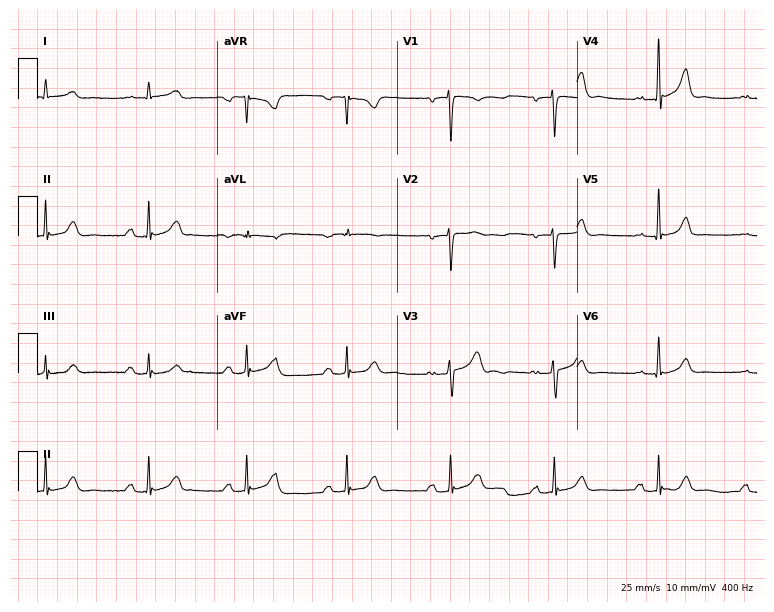
Standard 12-lead ECG recorded from a 58-year-old male patient (7.3-second recording at 400 Hz). The tracing shows first-degree AV block.